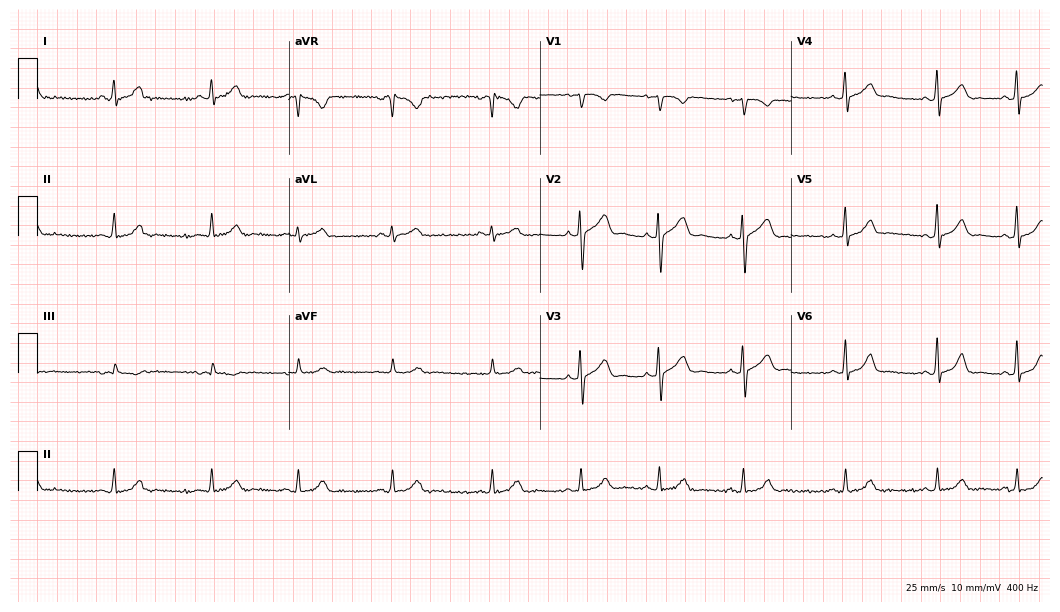
Standard 12-lead ECG recorded from a 21-year-old woman. Read as a normal ECG.